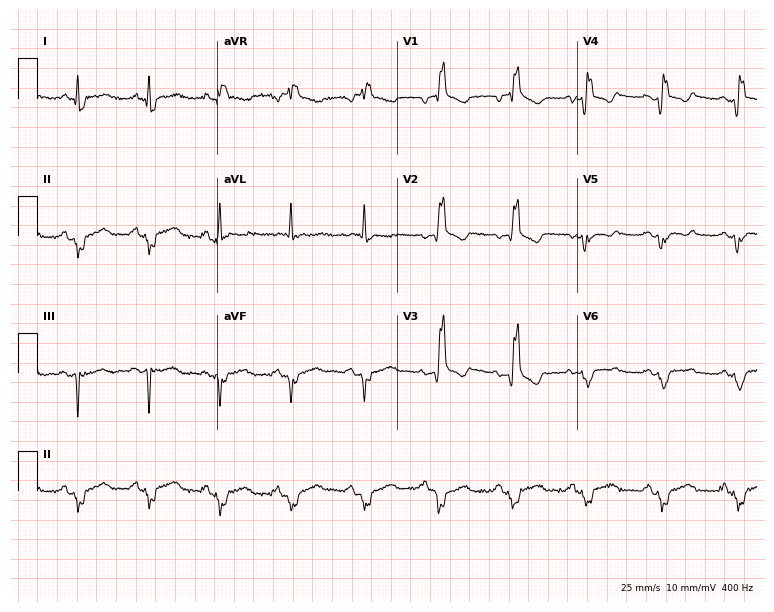
Standard 12-lead ECG recorded from a 71-year-old woman. None of these six findings is recorded: first-degree AV block, right bundle branch block (RBBB), left bundle branch block (LBBB), sinus bradycardia, atrial fibrillation (AF), sinus tachycardia.